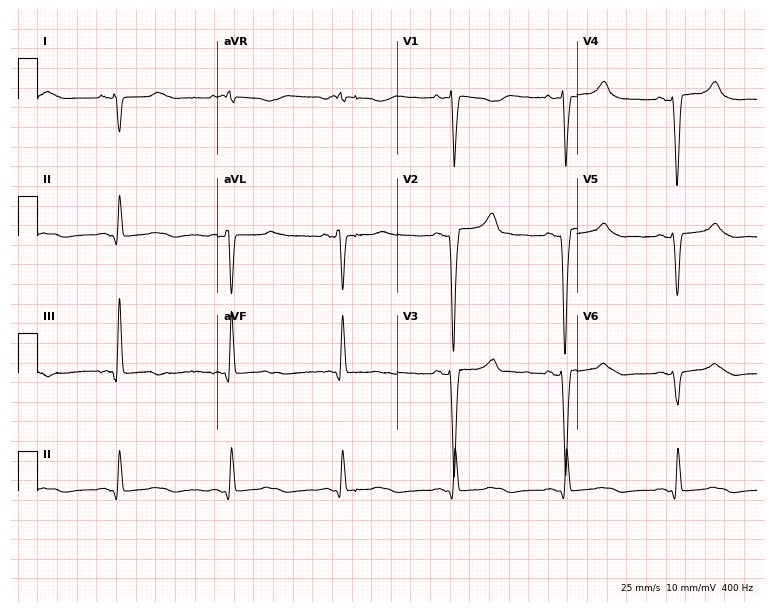
12-lead ECG from a 66-year-old female patient. Screened for six findings — first-degree AV block, right bundle branch block (RBBB), left bundle branch block (LBBB), sinus bradycardia, atrial fibrillation (AF), sinus tachycardia — none is recorded. Findings outside these six are not listed.